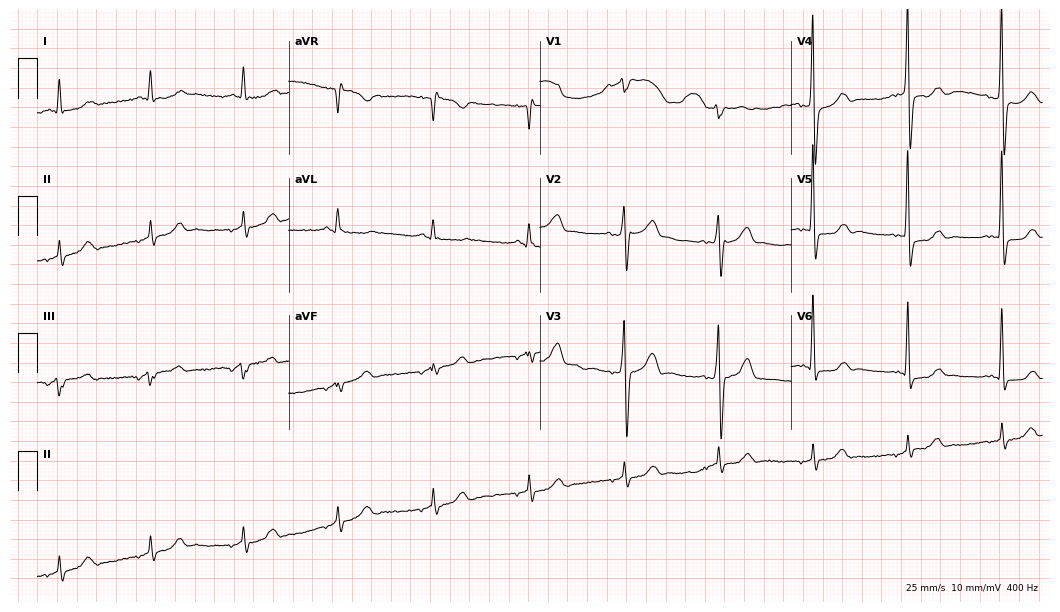
Resting 12-lead electrocardiogram. Patient: a 72-year-old male. None of these six findings is recorded: first-degree AV block, right bundle branch block, left bundle branch block, sinus bradycardia, atrial fibrillation, sinus tachycardia.